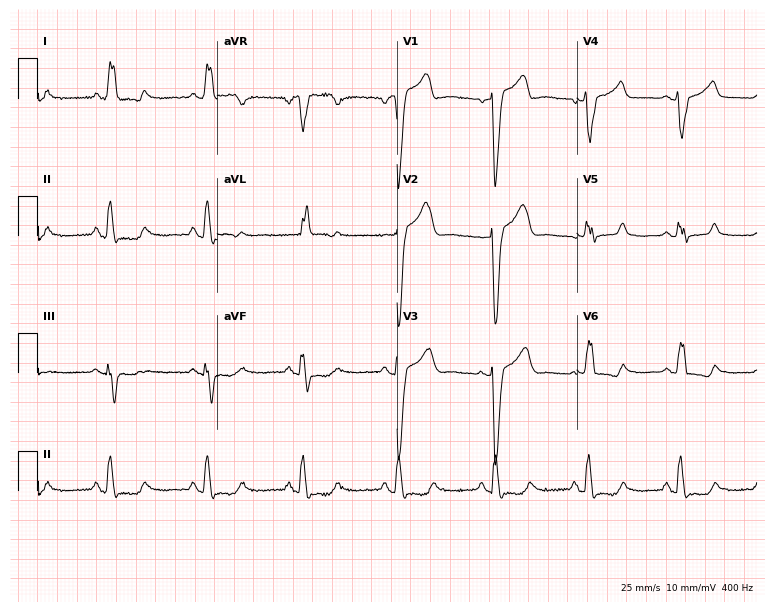
Resting 12-lead electrocardiogram (7.3-second recording at 400 Hz). Patient: a 56-year-old woman. The tracing shows left bundle branch block.